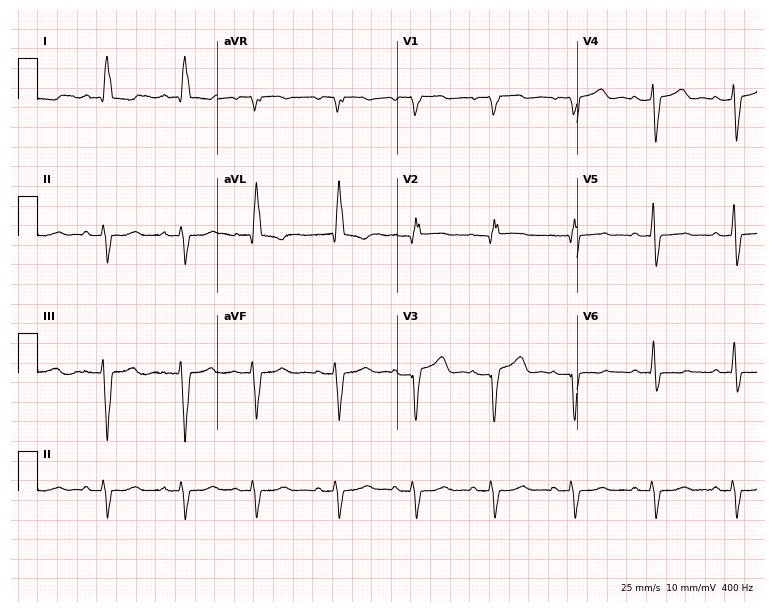
12-lead ECG from a 67-year-old woman. Findings include right bundle branch block.